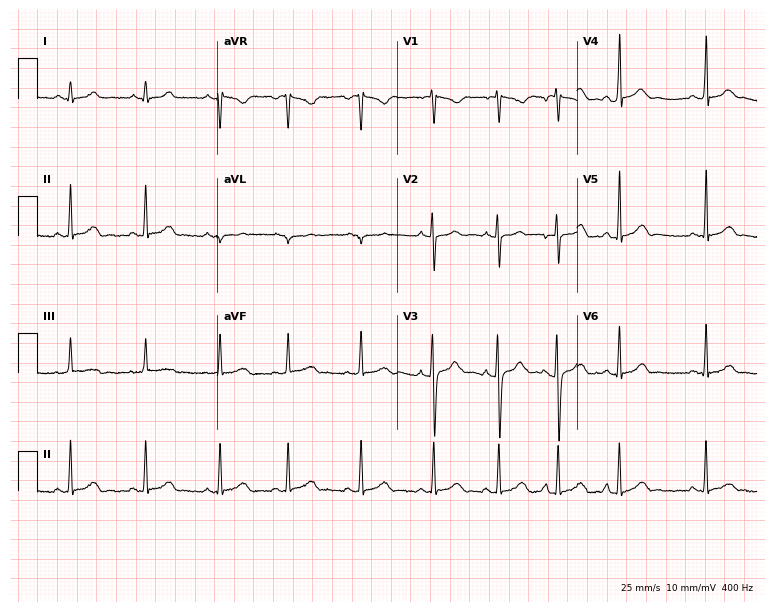
ECG (7.3-second recording at 400 Hz) — a woman, 17 years old. Screened for six findings — first-degree AV block, right bundle branch block, left bundle branch block, sinus bradycardia, atrial fibrillation, sinus tachycardia — none is recorded. Findings outside these six are not listed.